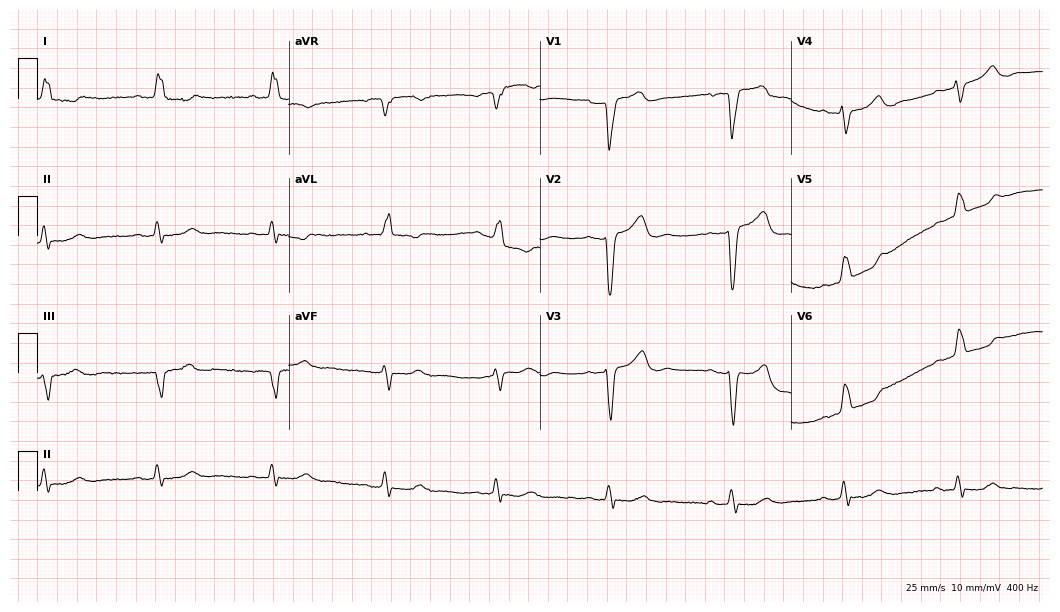
12-lead ECG from a 73-year-old female patient (10.2-second recording at 400 Hz). Shows left bundle branch block (LBBB).